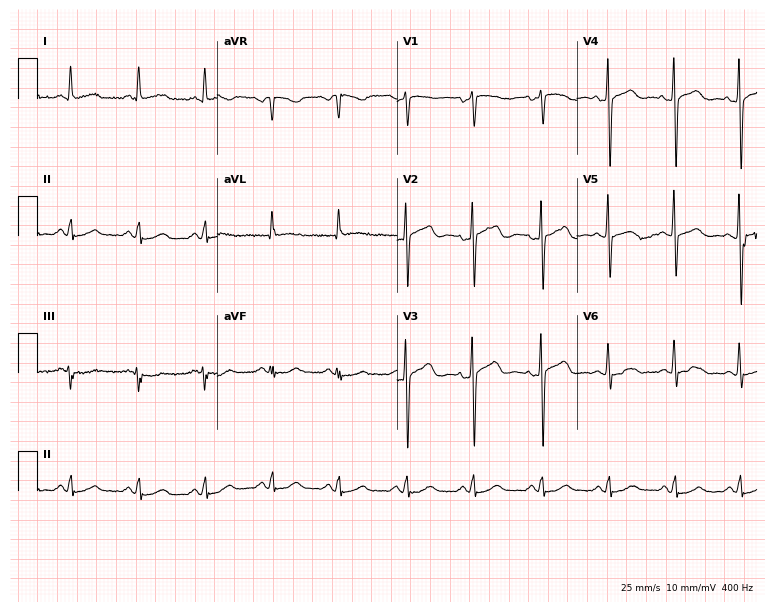
Resting 12-lead electrocardiogram (7.3-second recording at 400 Hz). Patient: a 54-year-old woman. Read as a normal ECG.